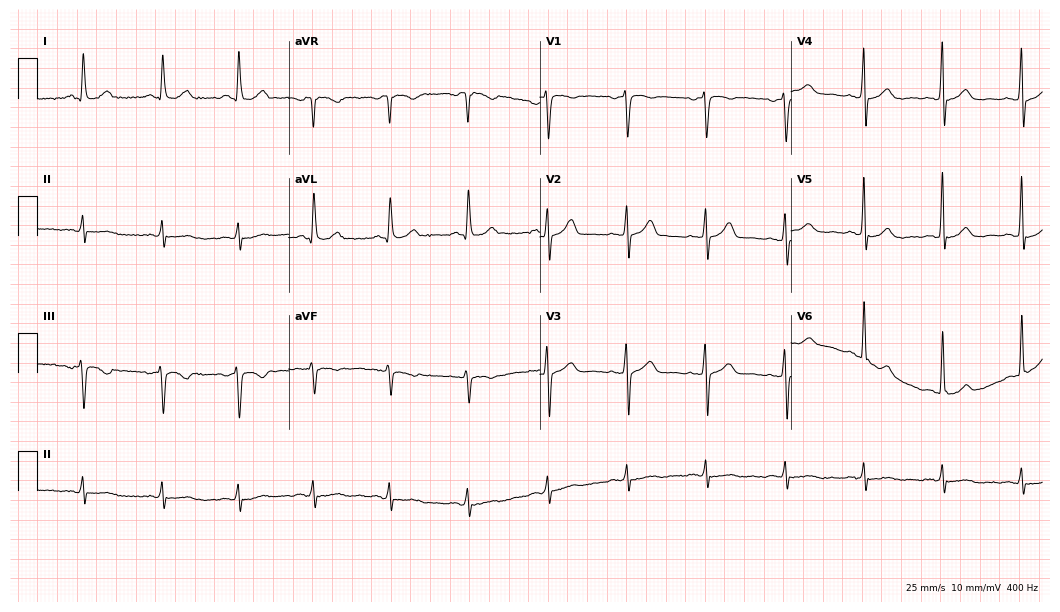
12-lead ECG from a 45-year-old male patient. Labelled as a normal ECG.